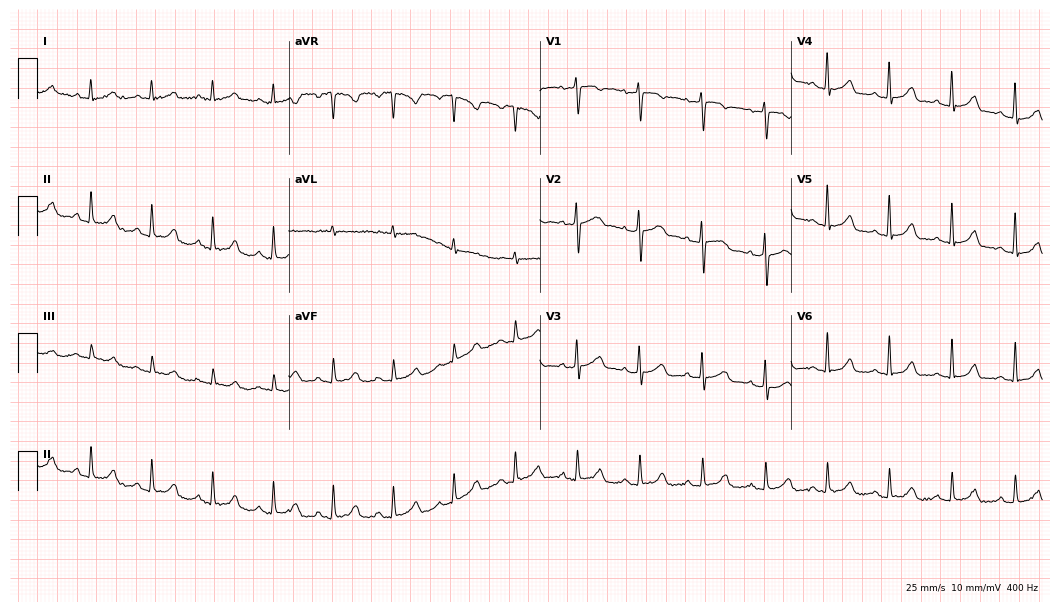
12-lead ECG from a female, 54 years old (10.2-second recording at 400 Hz). Recorded interpretation: within normal limits.